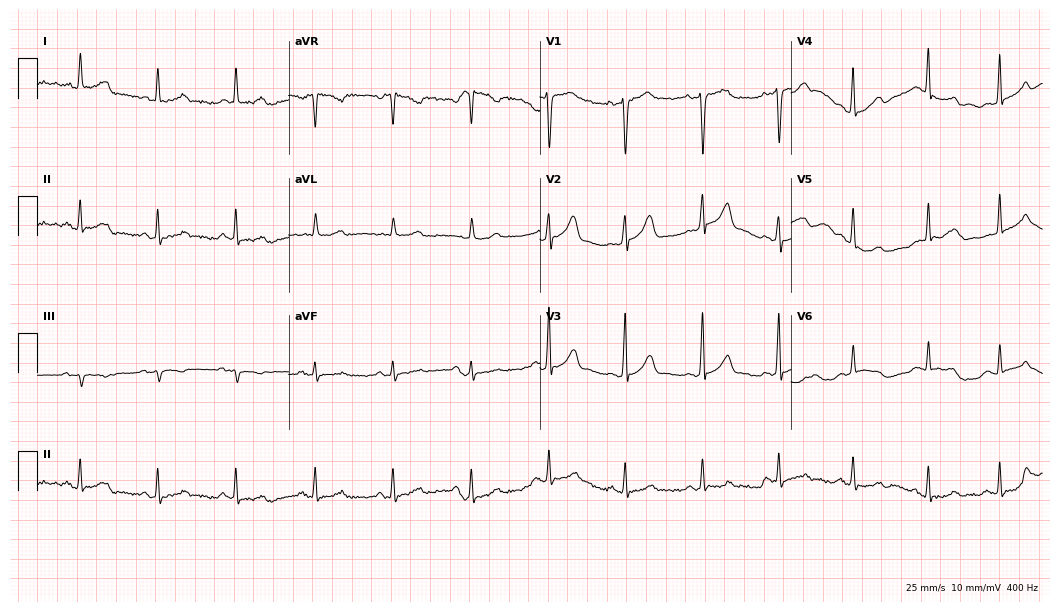
ECG (10.2-second recording at 400 Hz) — a 50-year-old male patient. Labelled as a normal ECG.